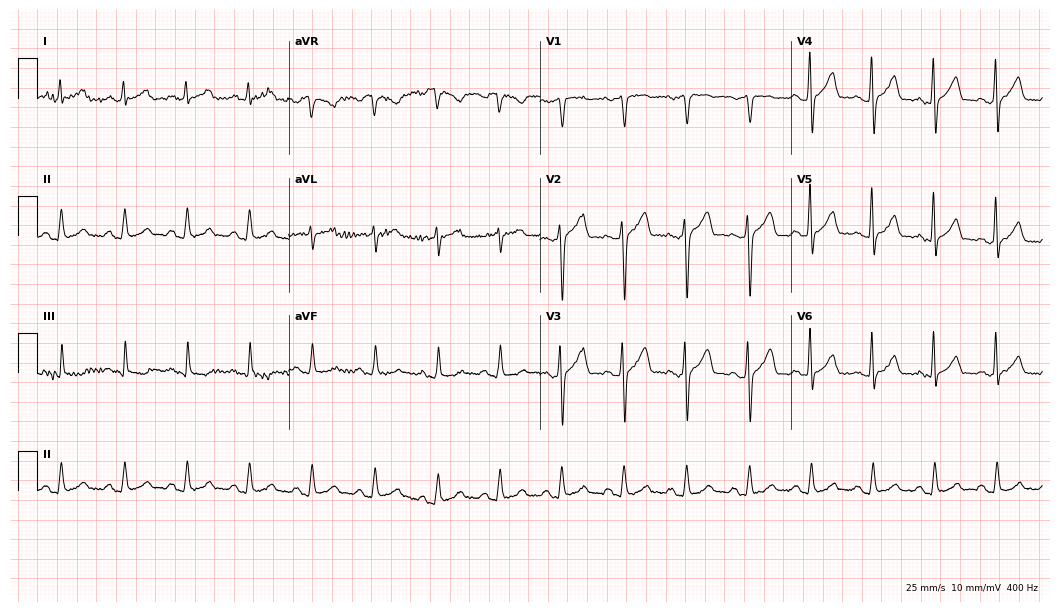
12-lead ECG from a male, 63 years old (10.2-second recording at 400 Hz). Recorded interpretation: within normal limits.